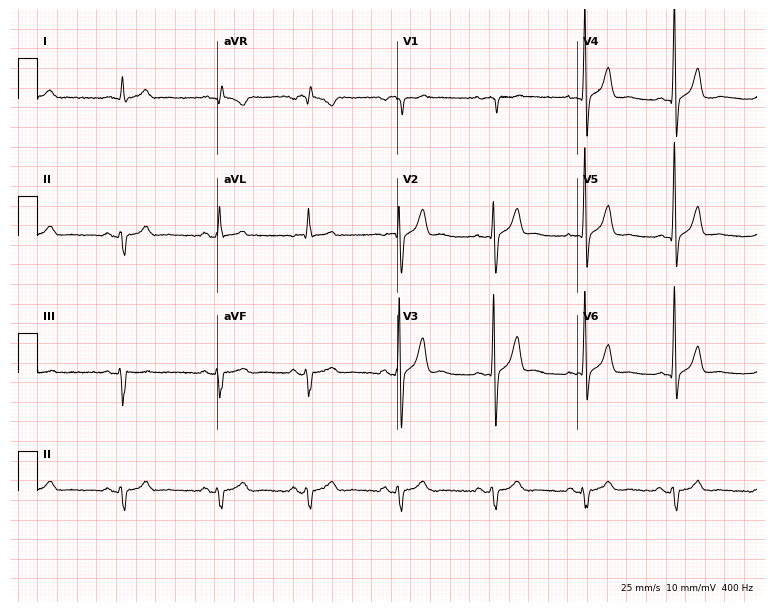
Resting 12-lead electrocardiogram (7.3-second recording at 400 Hz). Patient: a female, 58 years old. None of these six findings is recorded: first-degree AV block, right bundle branch block, left bundle branch block, sinus bradycardia, atrial fibrillation, sinus tachycardia. Only these six findings were labelled.